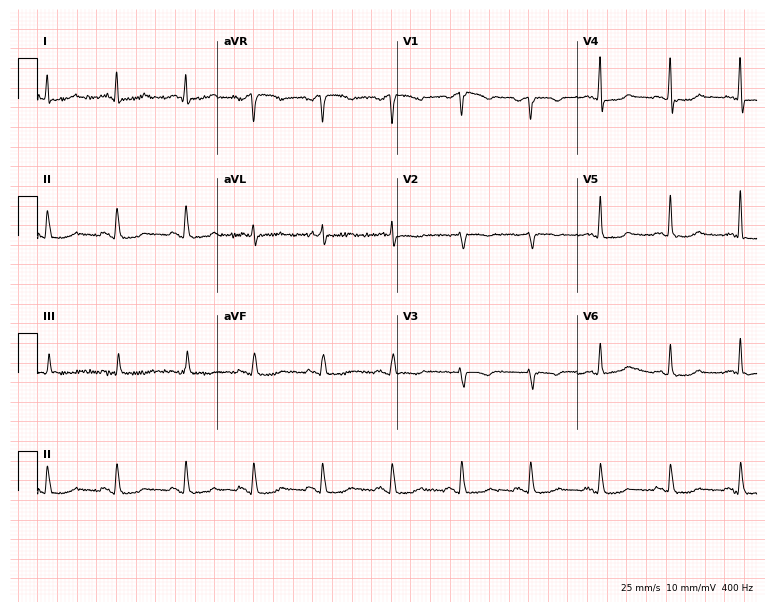
Resting 12-lead electrocardiogram (7.3-second recording at 400 Hz). Patient: a female, 69 years old. None of these six findings is recorded: first-degree AV block, right bundle branch block, left bundle branch block, sinus bradycardia, atrial fibrillation, sinus tachycardia. Findings outside these six are not listed.